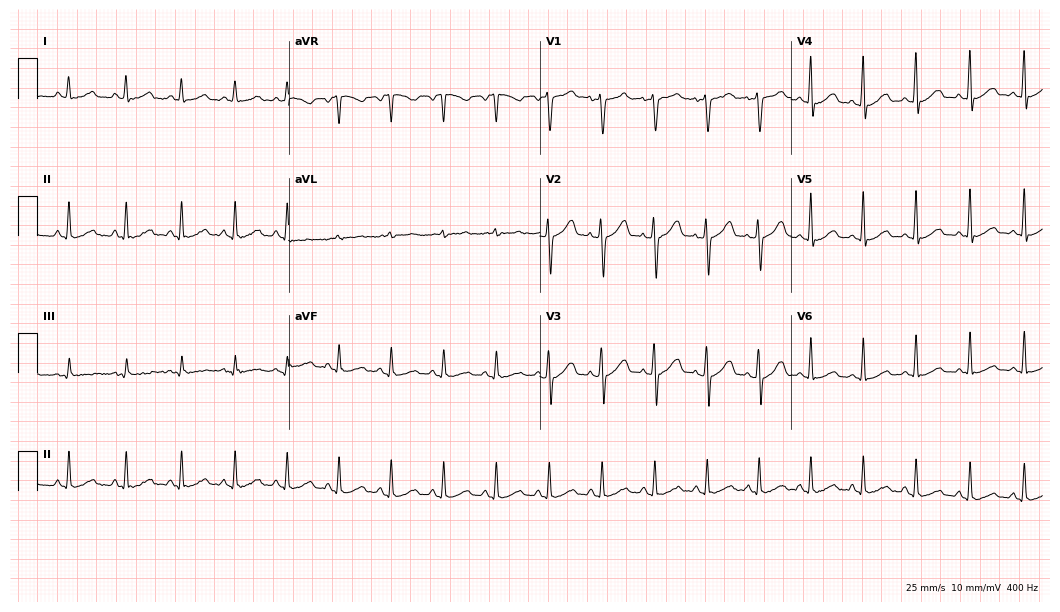
ECG (10.2-second recording at 400 Hz) — a 32-year-old woman. Findings include sinus tachycardia (a sinus rate of 100 beats per minute or more).